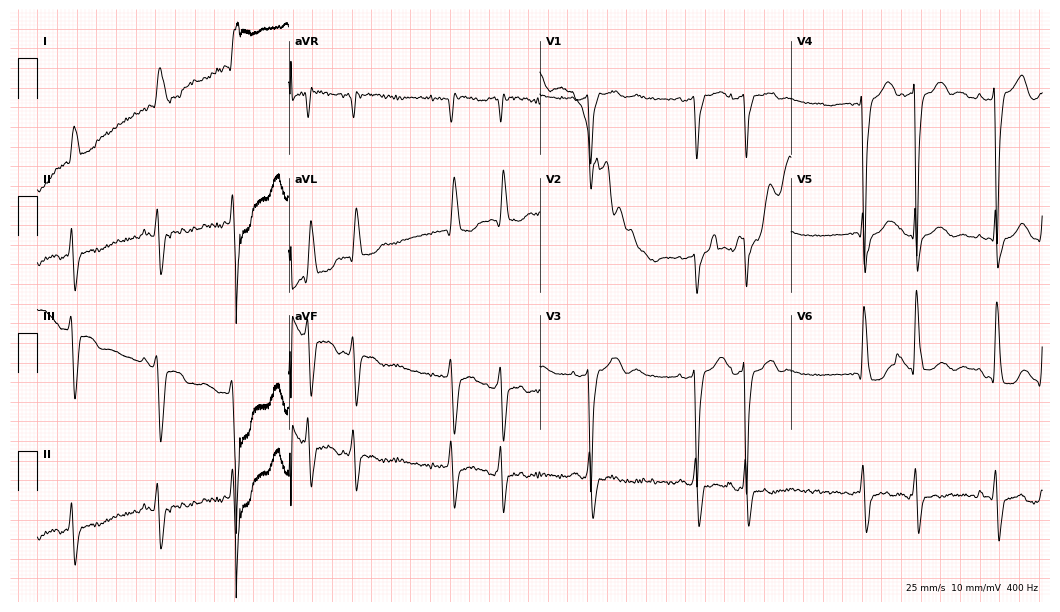
Standard 12-lead ECG recorded from a male patient, 77 years old. The tracing shows left bundle branch block, atrial fibrillation.